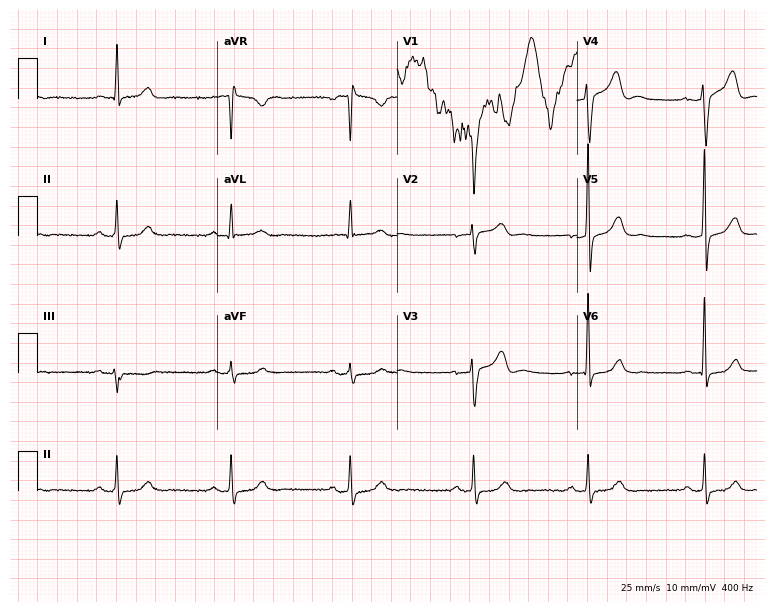
Electrocardiogram (7.3-second recording at 400 Hz), a 39-year-old man. Of the six screened findings (first-degree AV block, right bundle branch block, left bundle branch block, sinus bradycardia, atrial fibrillation, sinus tachycardia), none is recorded. Other findings, if any, are not listed.